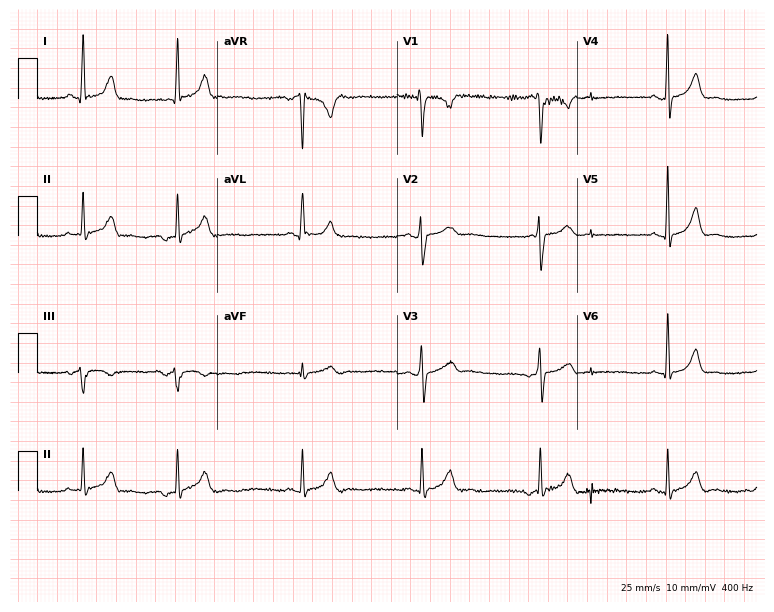
12-lead ECG from a 30-year-old woman. Shows sinus bradycardia (a sinus rate of 50 beats per minute or less).